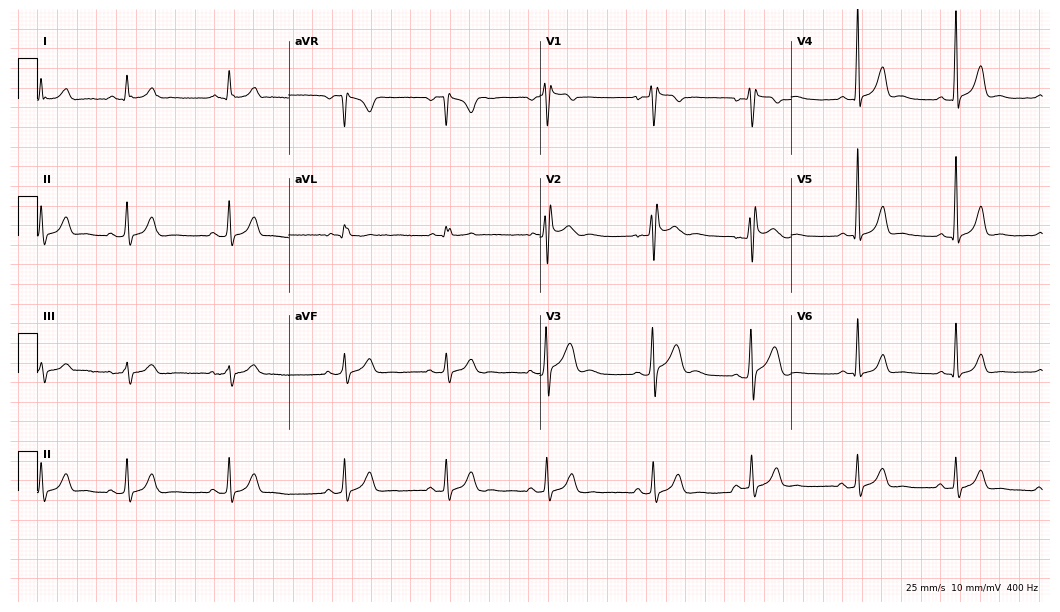
12-lead ECG from a 21-year-old male. Screened for six findings — first-degree AV block, right bundle branch block, left bundle branch block, sinus bradycardia, atrial fibrillation, sinus tachycardia — none is recorded. Only these six findings were labelled.